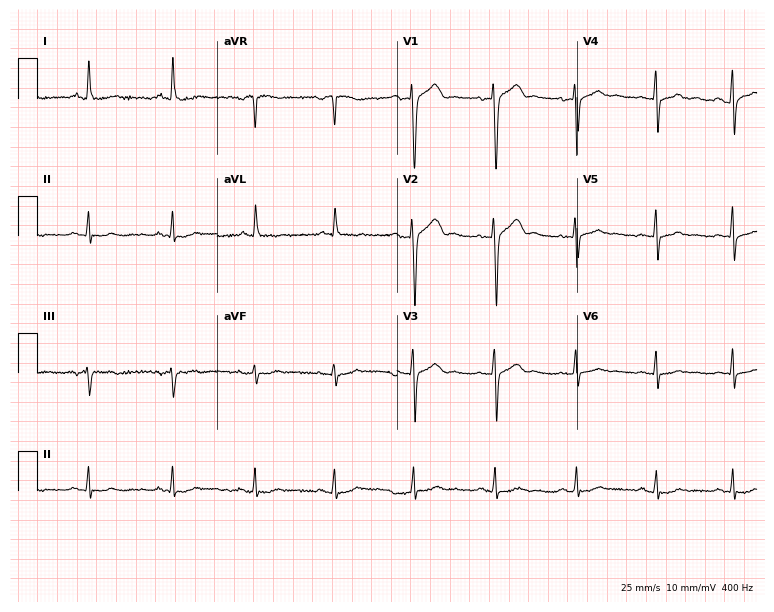
12-lead ECG (7.3-second recording at 400 Hz) from a 47-year-old female. Screened for six findings — first-degree AV block, right bundle branch block, left bundle branch block, sinus bradycardia, atrial fibrillation, sinus tachycardia — none is recorded.